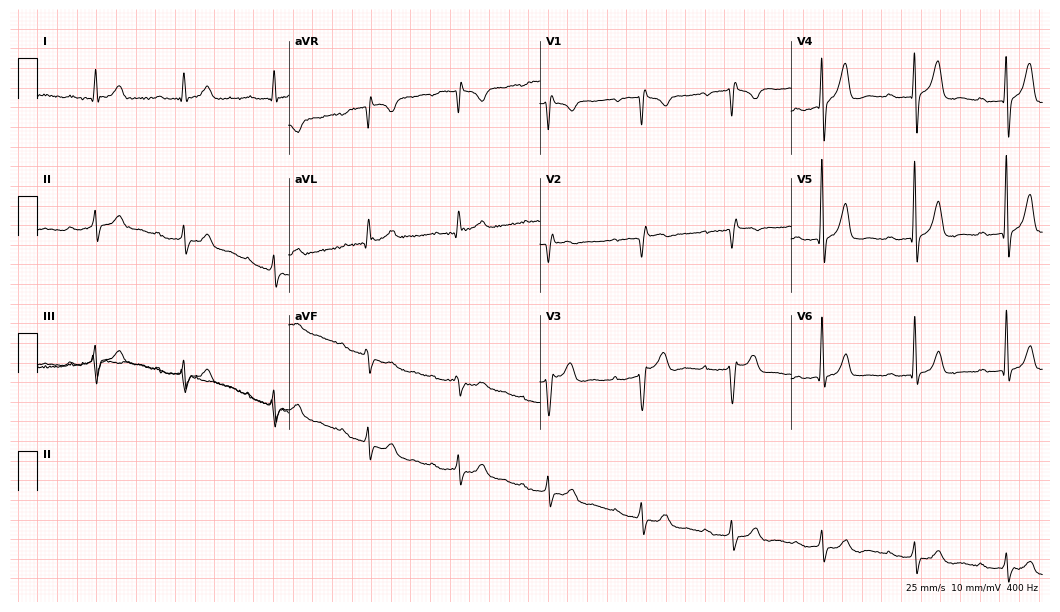
12-lead ECG (10.2-second recording at 400 Hz) from a male patient, 81 years old. Screened for six findings — first-degree AV block, right bundle branch block (RBBB), left bundle branch block (LBBB), sinus bradycardia, atrial fibrillation (AF), sinus tachycardia — none is recorded. Findings outside these six are not listed.